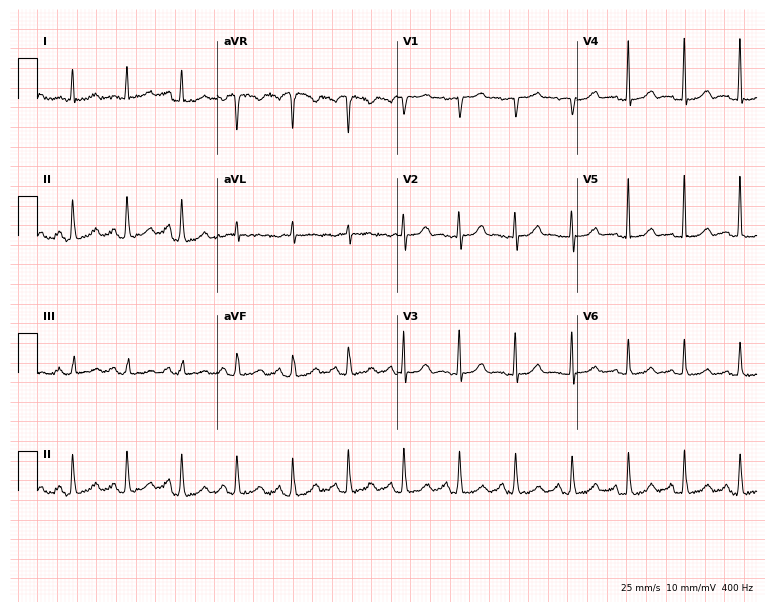
Electrocardiogram (7.3-second recording at 400 Hz), a woman, 62 years old. Of the six screened findings (first-degree AV block, right bundle branch block, left bundle branch block, sinus bradycardia, atrial fibrillation, sinus tachycardia), none is recorded. Only these six findings were labelled.